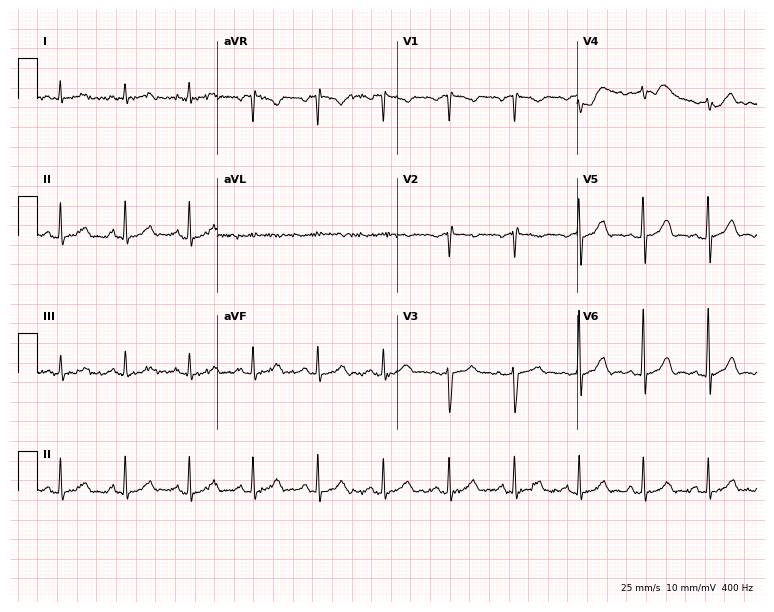
Standard 12-lead ECG recorded from a male patient, 64 years old (7.3-second recording at 400 Hz). None of these six findings is recorded: first-degree AV block, right bundle branch block (RBBB), left bundle branch block (LBBB), sinus bradycardia, atrial fibrillation (AF), sinus tachycardia.